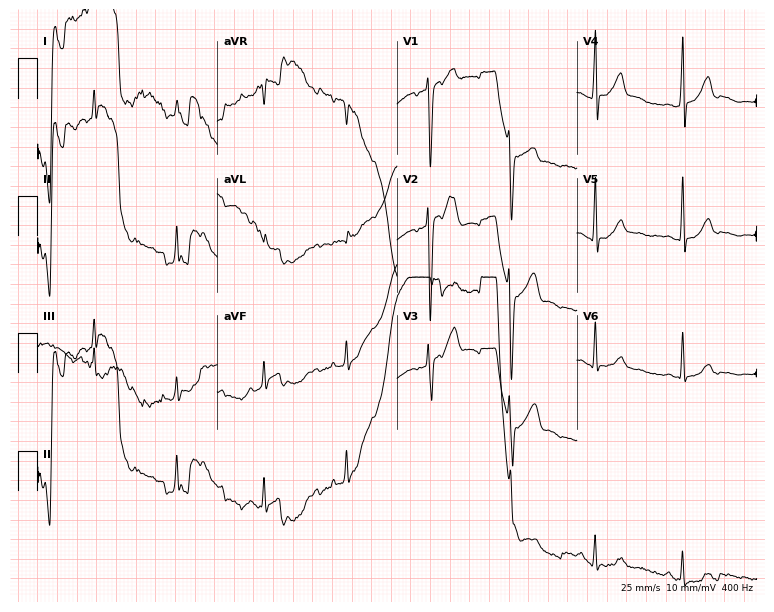
Standard 12-lead ECG recorded from a 26-year-old man. None of these six findings is recorded: first-degree AV block, right bundle branch block (RBBB), left bundle branch block (LBBB), sinus bradycardia, atrial fibrillation (AF), sinus tachycardia.